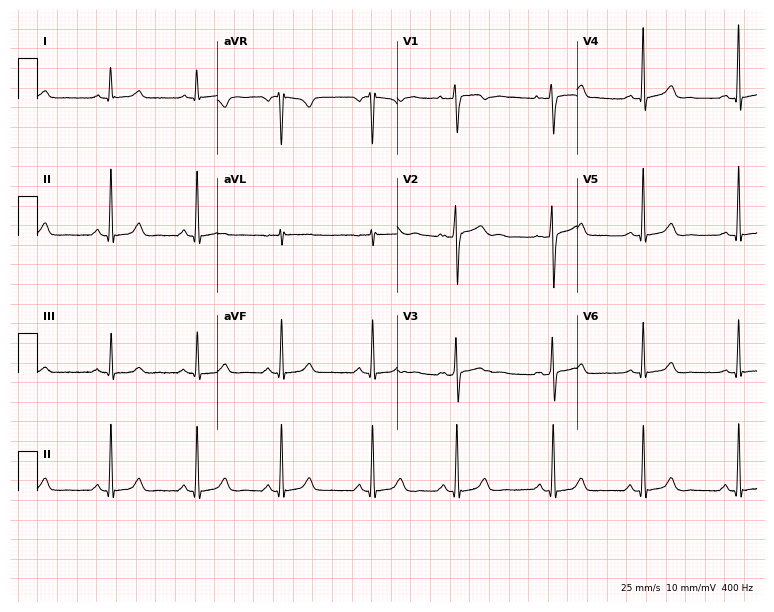
Standard 12-lead ECG recorded from a female, 45 years old. None of these six findings is recorded: first-degree AV block, right bundle branch block, left bundle branch block, sinus bradycardia, atrial fibrillation, sinus tachycardia. Findings outside these six are not listed.